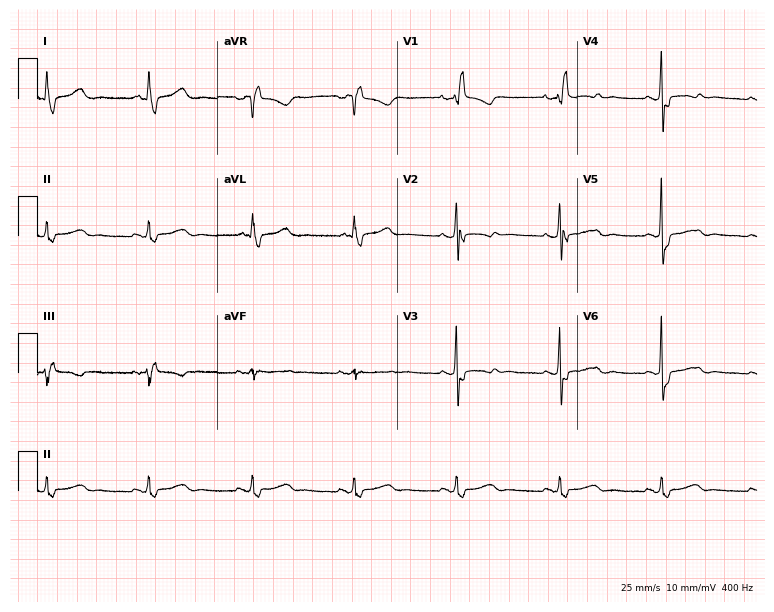
Resting 12-lead electrocardiogram. Patient: a woman, 53 years old. The tracing shows right bundle branch block.